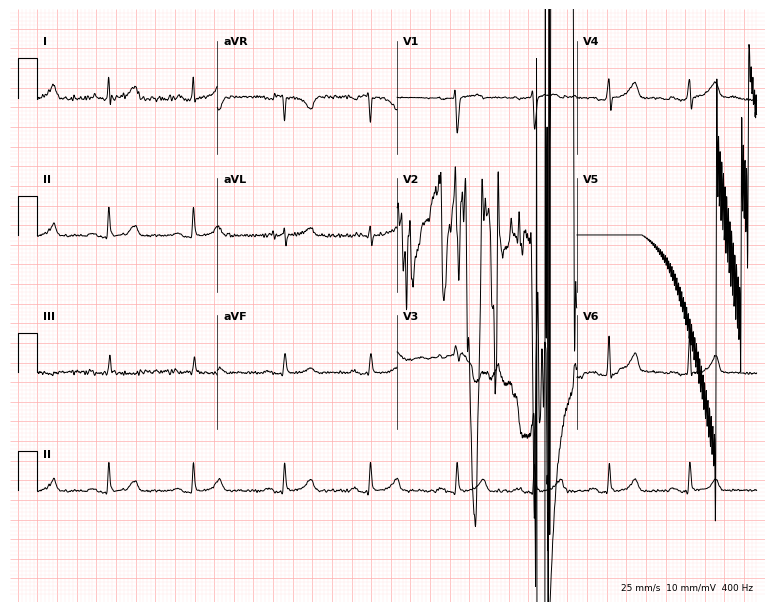
ECG (7.3-second recording at 400 Hz) — a female, 25 years old. Screened for six findings — first-degree AV block, right bundle branch block, left bundle branch block, sinus bradycardia, atrial fibrillation, sinus tachycardia — none is recorded. Findings outside these six are not listed.